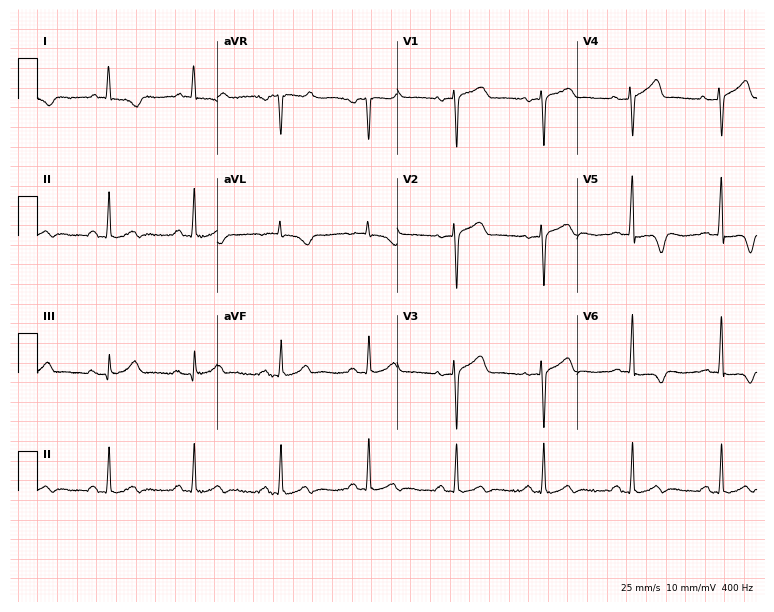
Standard 12-lead ECG recorded from a female, 65 years old. Read as a normal ECG.